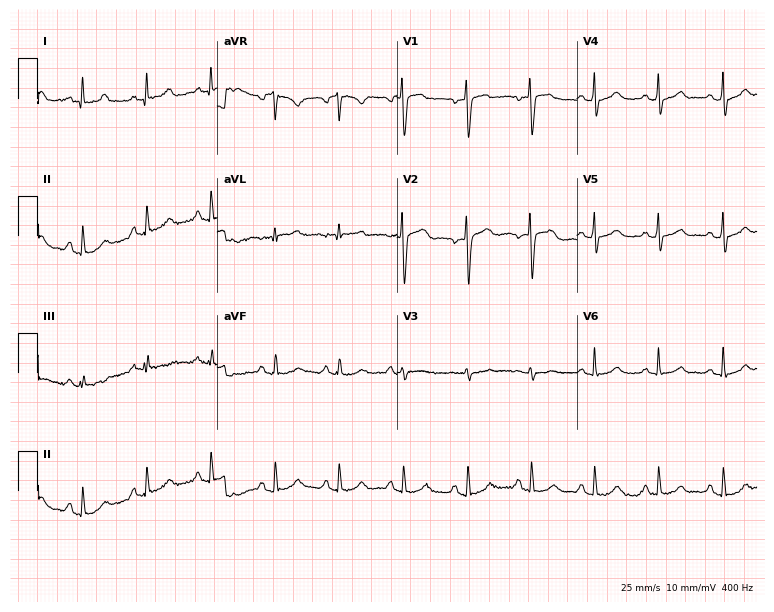
12-lead ECG from a 42-year-old female. Screened for six findings — first-degree AV block, right bundle branch block, left bundle branch block, sinus bradycardia, atrial fibrillation, sinus tachycardia — none is recorded.